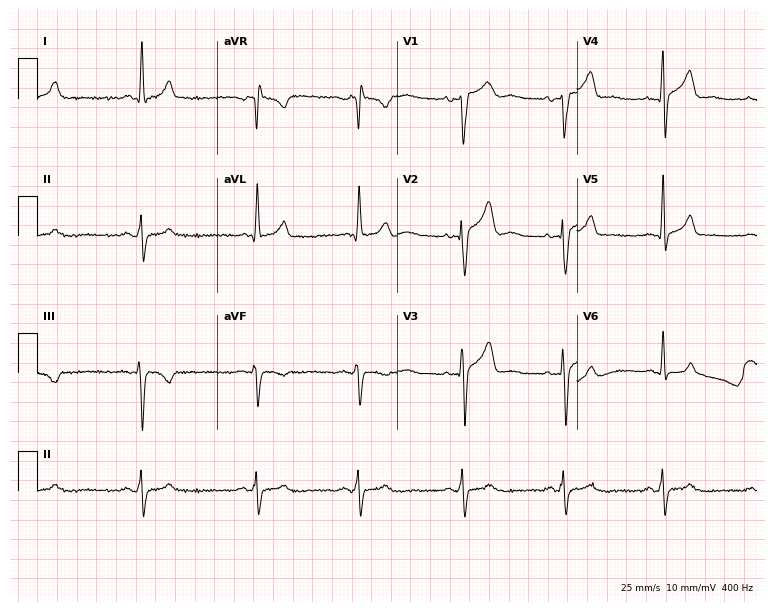
Standard 12-lead ECG recorded from a male, 41 years old (7.3-second recording at 400 Hz). None of these six findings is recorded: first-degree AV block, right bundle branch block (RBBB), left bundle branch block (LBBB), sinus bradycardia, atrial fibrillation (AF), sinus tachycardia.